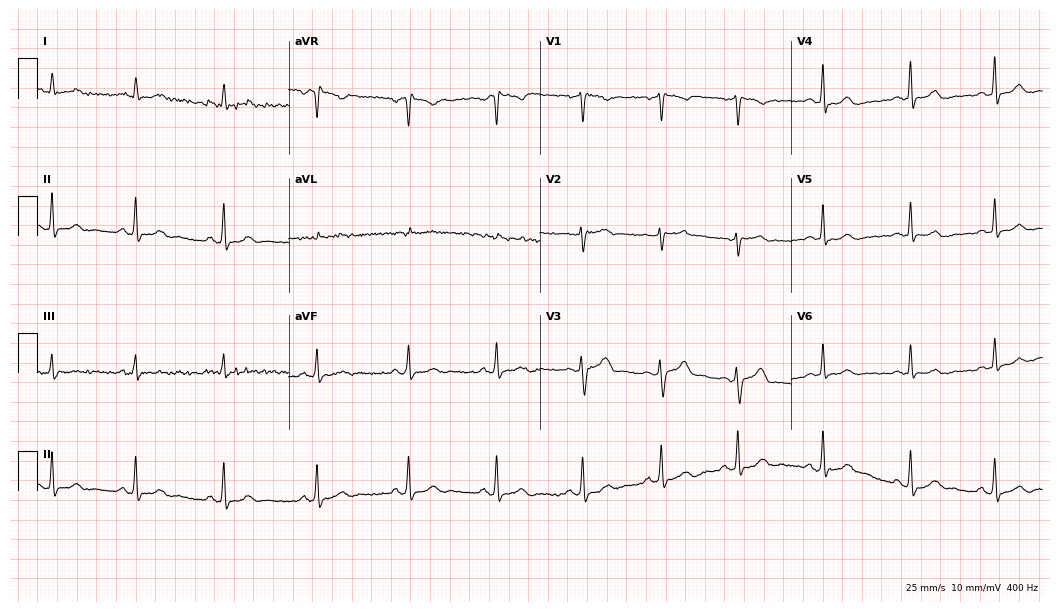
Standard 12-lead ECG recorded from a 29-year-old woman. None of these six findings is recorded: first-degree AV block, right bundle branch block (RBBB), left bundle branch block (LBBB), sinus bradycardia, atrial fibrillation (AF), sinus tachycardia.